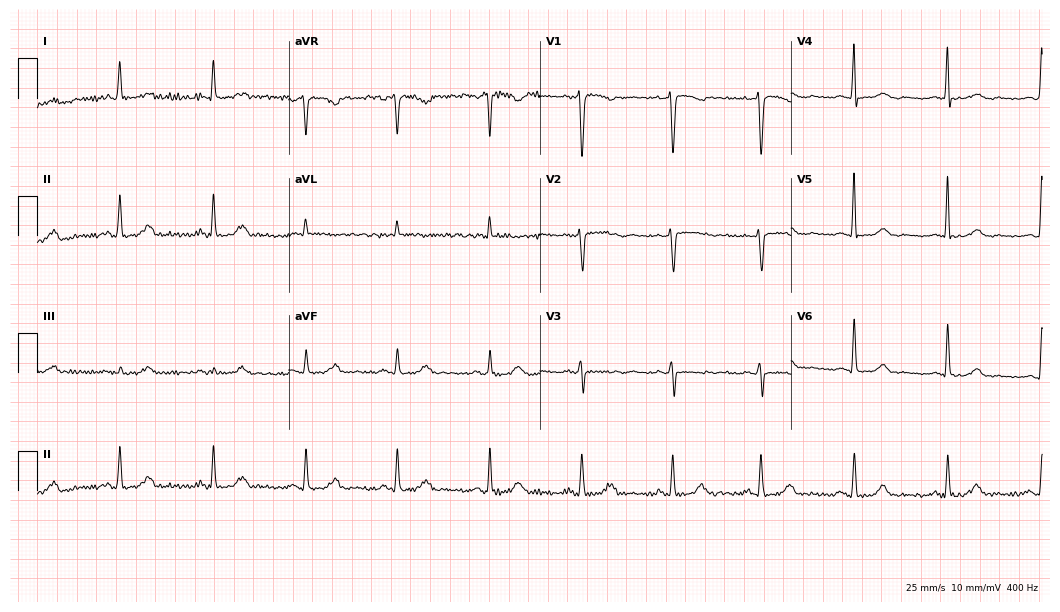
Electrocardiogram (10.2-second recording at 400 Hz), a woman, 51 years old. Of the six screened findings (first-degree AV block, right bundle branch block, left bundle branch block, sinus bradycardia, atrial fibrillation, sinus tachycardia), none is recorded.